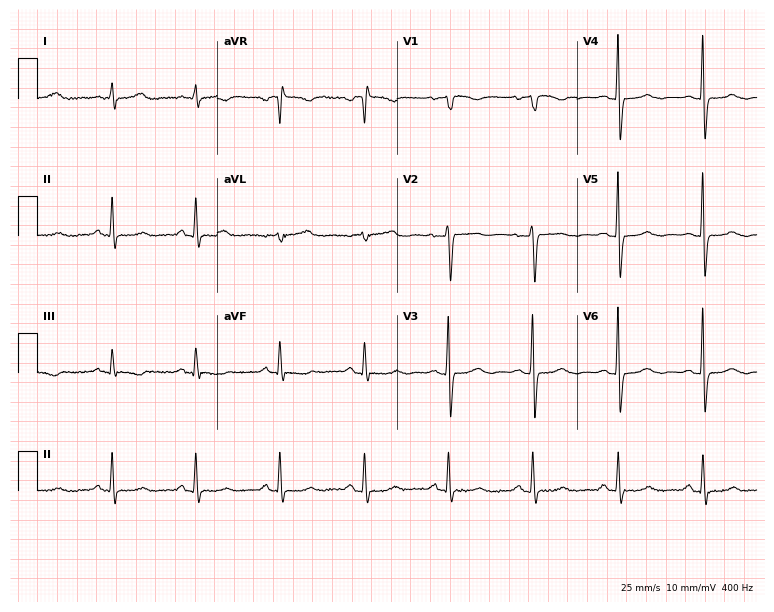
Electrocardiogram, a woman, 76 years old. Of the six screened findings (first-degree AV block, right bundle branch block, left bundle branch block, sinus bradycardia, atrial fibrillation, sinus tachycardia), none is recorded.